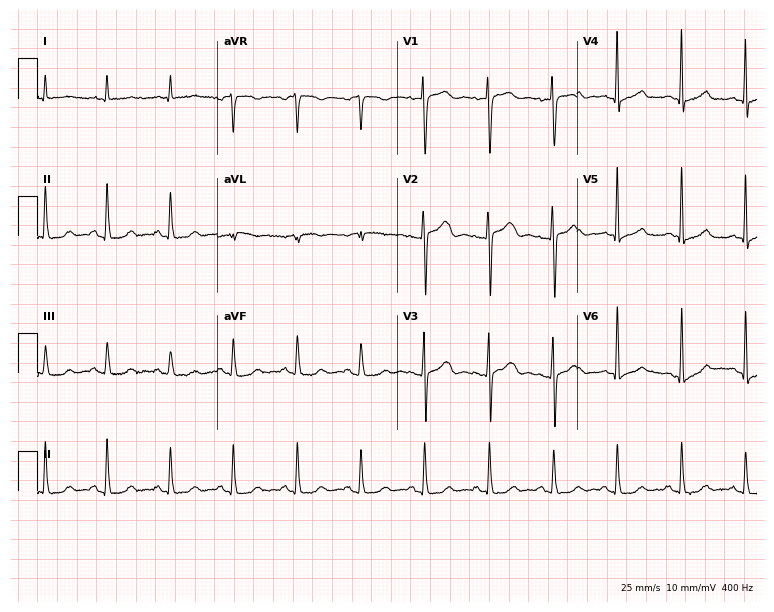
12-lead ECG (7.3-second recording at 400 Hz) from a female patient, 77 years old. Screened for six findings — first-degree AV block, right bundle branch block (RBBB), left bundle branch block (LBBB), sinus bradycardia, atrial fibrillation (AF), sinus tachycardia — none is recorded. Findings outside these six are not listed.